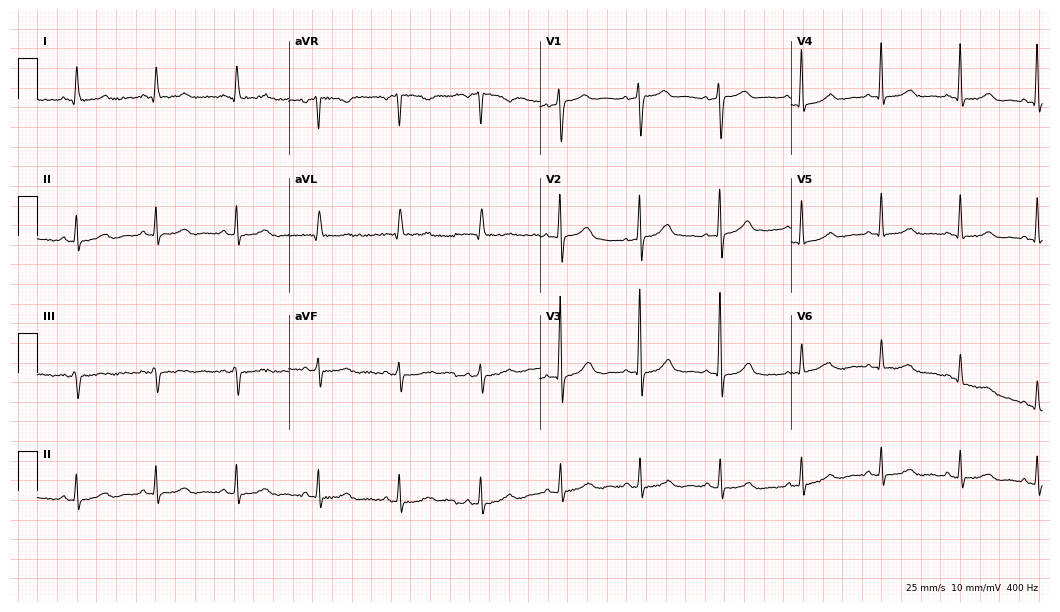
Resting 12-lead electrocardiogram. Patient: a female, 57 years old. None of these six findings is recorded: first-degree AV block, right bundle branch block, left bundle branch block, sinus bradycardia, atrial fibrillation, sinus tachycardia.